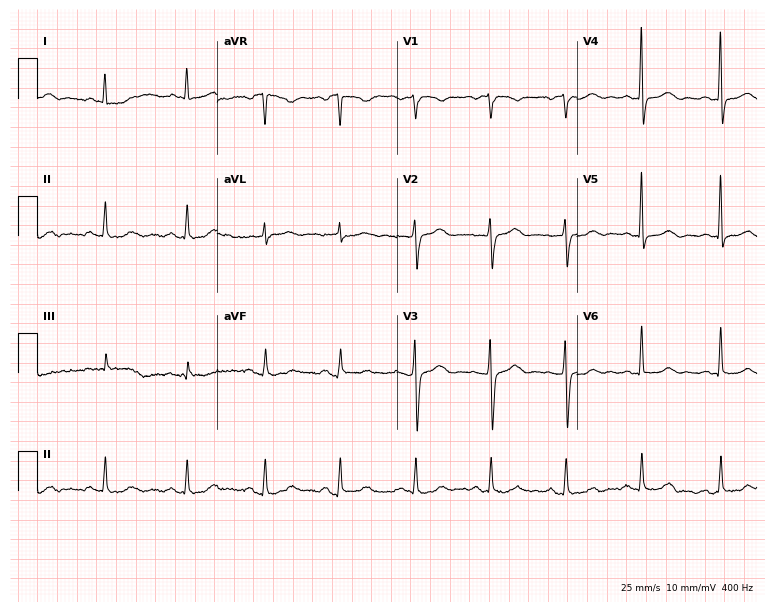
Standard 12-lead ECG recorded from a female patient, 54 years old (7.3-second recording at 400 Hz). Read as a normal ECG.